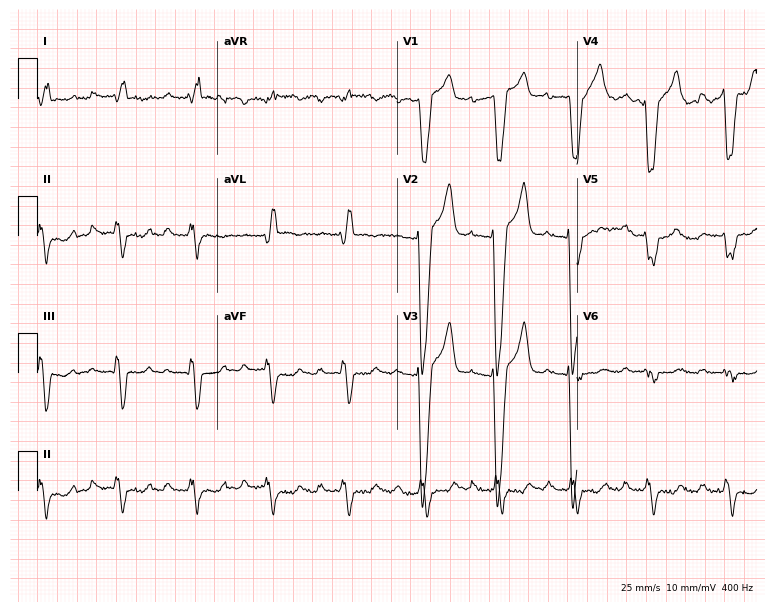
Standard 12-lead ECG recorded from a male, 73 years old (7.3-second recording at 400 Hz). The tracing shows first-degree AV block, left bundle branch block.